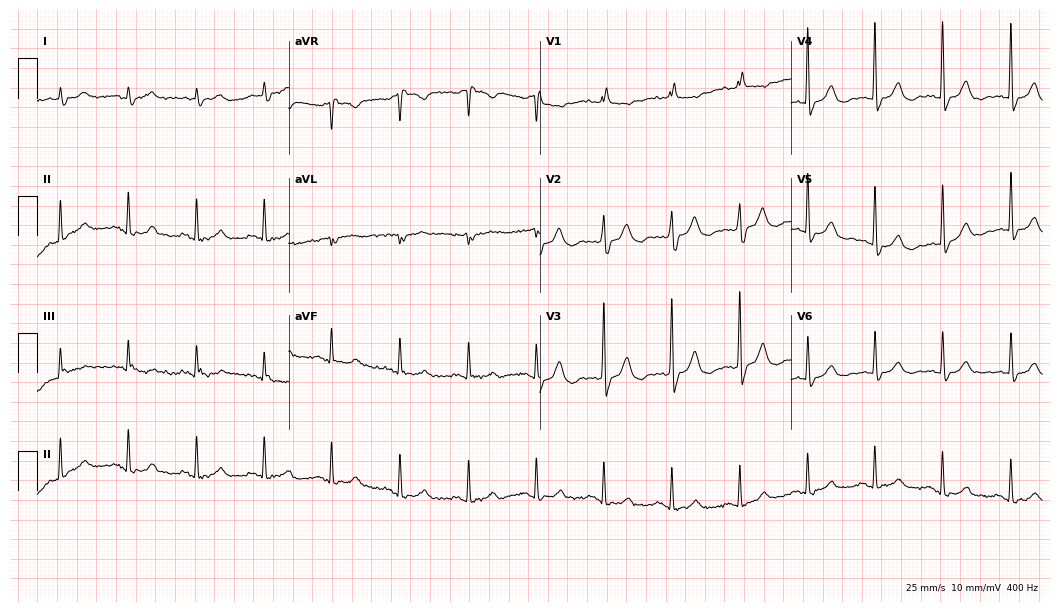
12-lead ECG (10.2-second recording at 400 Hz) from an 85-year-old female. Screened for six findings — first-degree AV block, right bundle branch block, left bundle branch block, sinus bradycardia, atrial fibrillation, sinus tachycardia — none is recorded. Other findings, if any, are not listed.